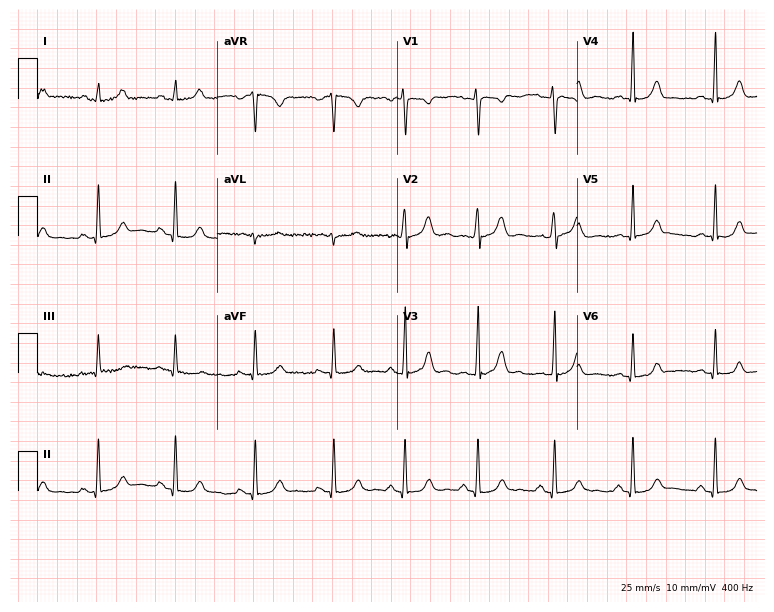
12-lead ECG from a woman, 32 years old. Recorded interpretation: within normal limits.